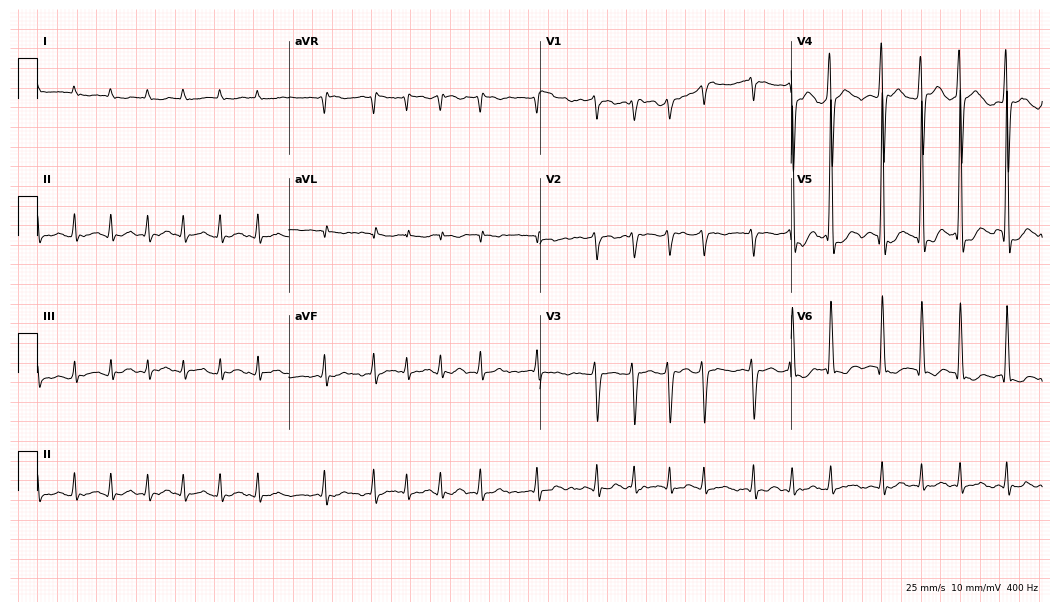
Electrocardiogram (10.2-second recording at 400 Hz), a 74-year-old male patient. Interpretation includes atrial fibrillation.